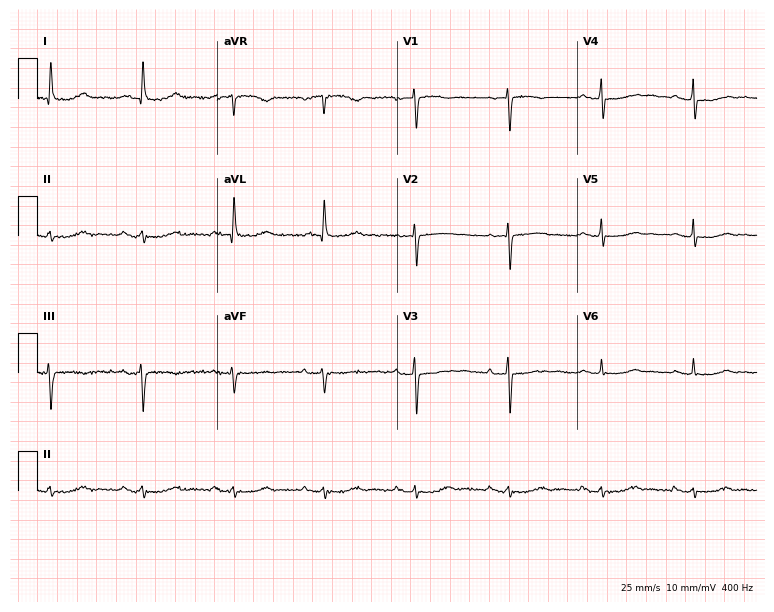
Resting 12-lead electrocardiogram (7.3-second recording at 400 Hz). Patient: a 78-year-old woman. None of these six findings is recorded: first-degree AV block, right bundle branch block, left bundle branch block, sinus bradycardia, atrial fibrillation, sinus tachycardia. Other findings, if any, are not listed.